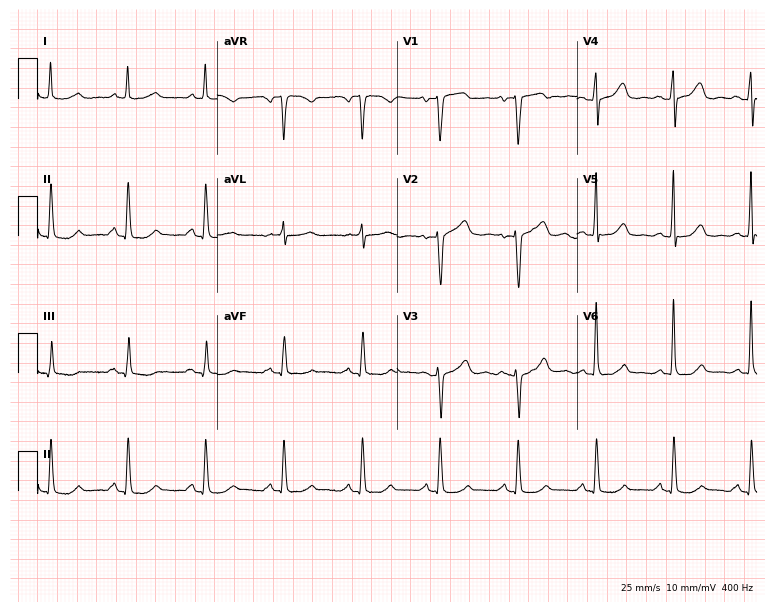
Resting 12-lead electrocardiogram (7.3-second recording at 400 Hz). Patient: a 72-year-old female. None of these six findings is recorded: first-degree AV block, right bundle branch block, left bundle branch block, sinus bradycardia, atrial fibrillation, sinus tachycardia. Only these six findings were labelled.